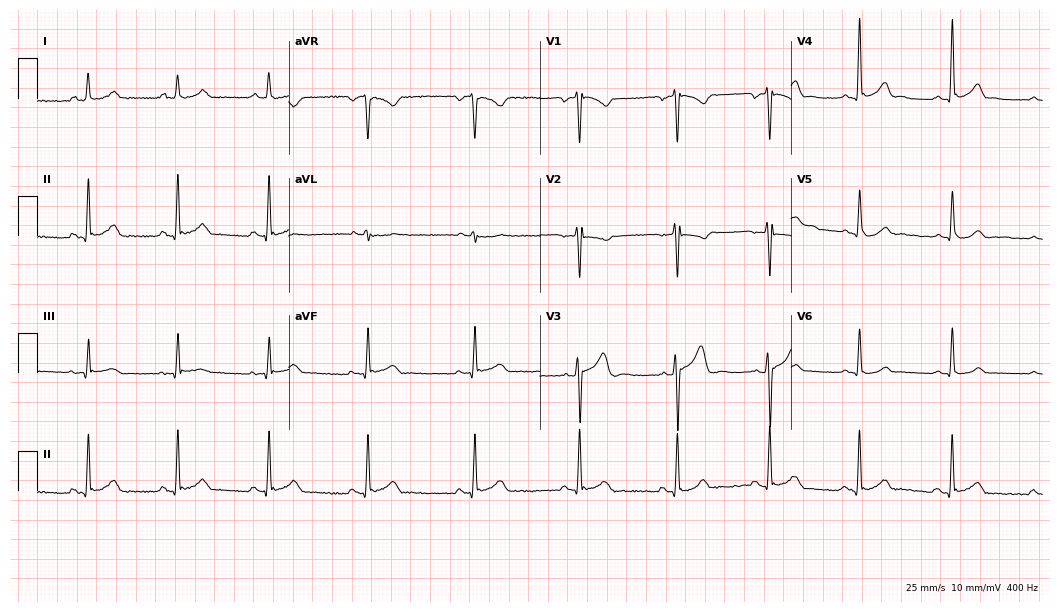
Electrocardiogram, a 22-year-old male patient. Overall reading on record: normal ECG.